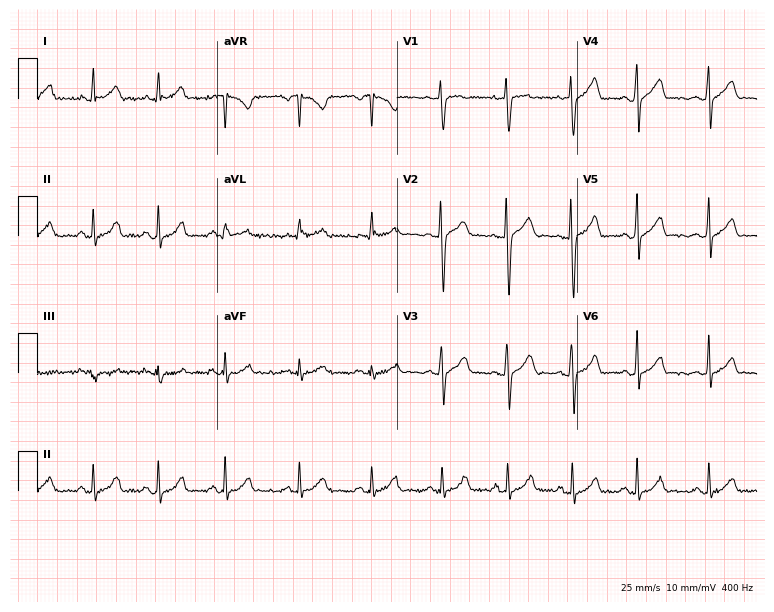
Electrocardiogram (7.3-second recording at 400 Hz), an 18-year-old man. Overall reading on record: normal ECG.